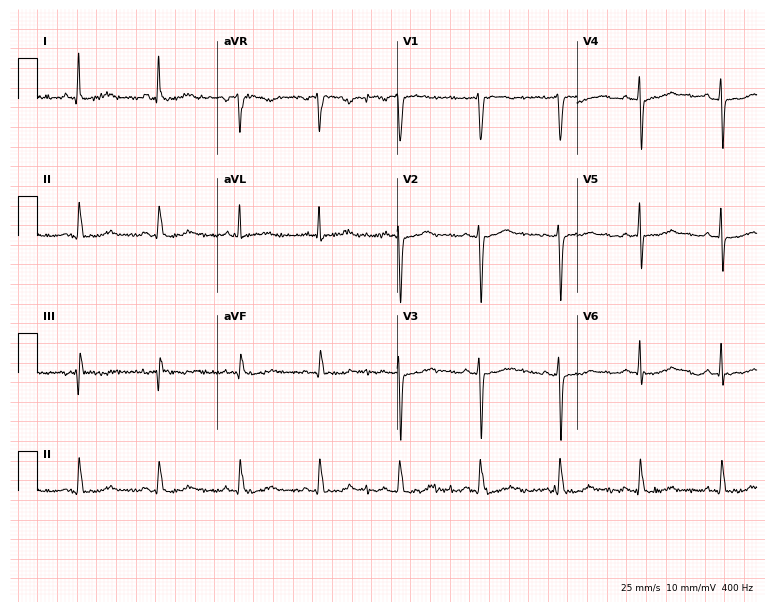
12-lead ECG from a woman, 65 years old (7.3-second recording at 400 Hz). No first-degree AV block, right bundle branch block (RBBB), left bundle branch block (LBBB), sinus bradycardia, atrial fibrillation (AF) or sinus tachycardia recorded for this tracing.